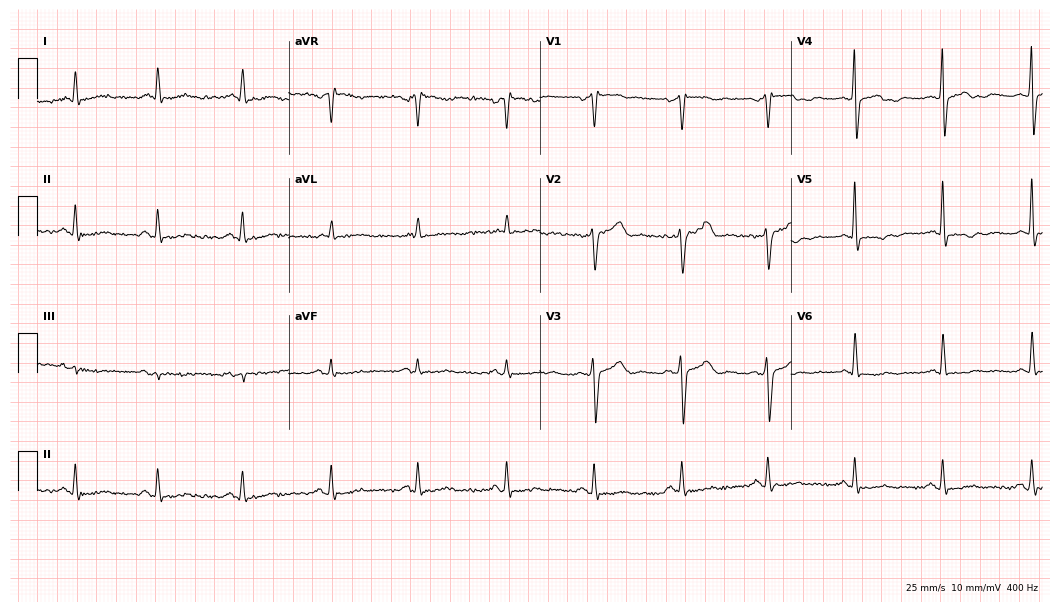
Resting 12-lead electrocardiogram. Patient: a 66-year-old male. None of these six findings is recorded: first-degree AV block, right bundle branch block, left bundle branch block, sinus bradycardia, atrial fibrillation, sinus tachycardia. Other findings, if any, are not listed.